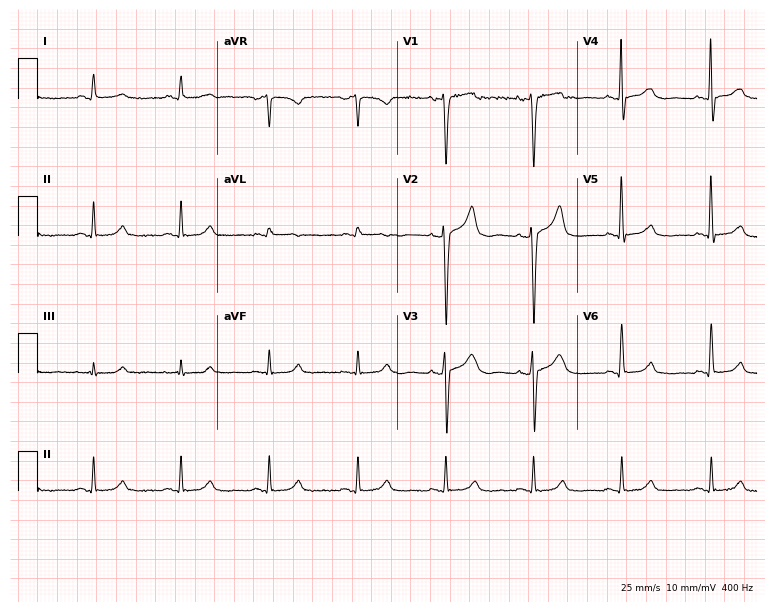
12-lead ECG from a 50-year-old male patient. Recorded interpretation: within normal limits.